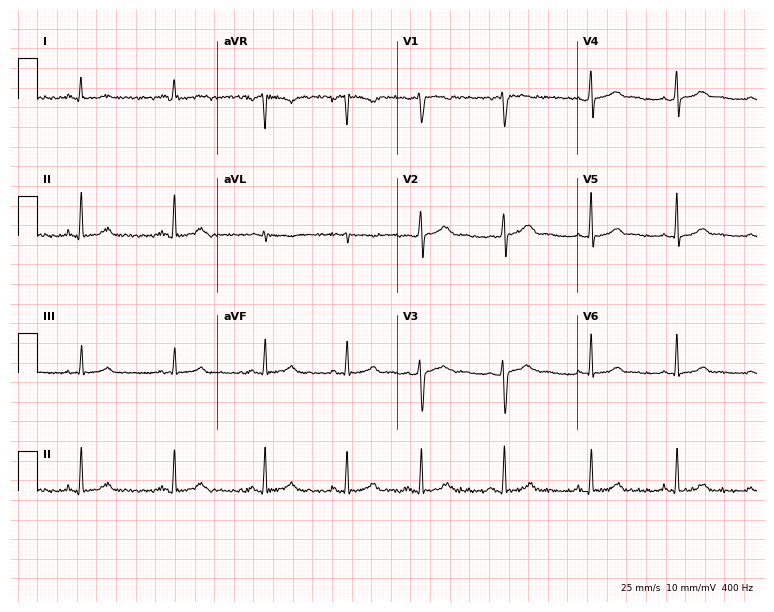
12-lead ECG from a 34-year-old female patient (7.3-second recording at 400 Hz). No first-degree AV block, right bundle branch block, left bundle branch block, sinus bradycardia, atrial fibrillation or sinus tachycardia recorded for this tracing.